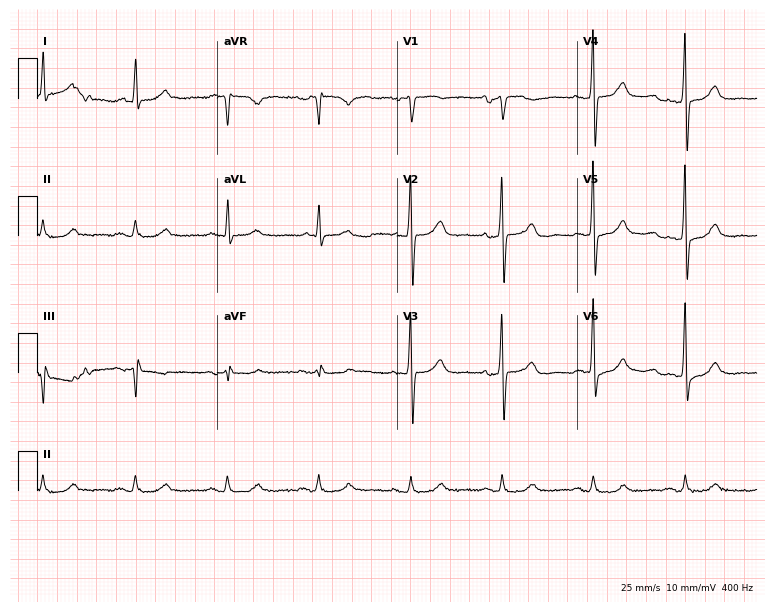
Resting 12-lead electrocardiogram. Patient: a 78-year-old male. Read as a normal ECG.